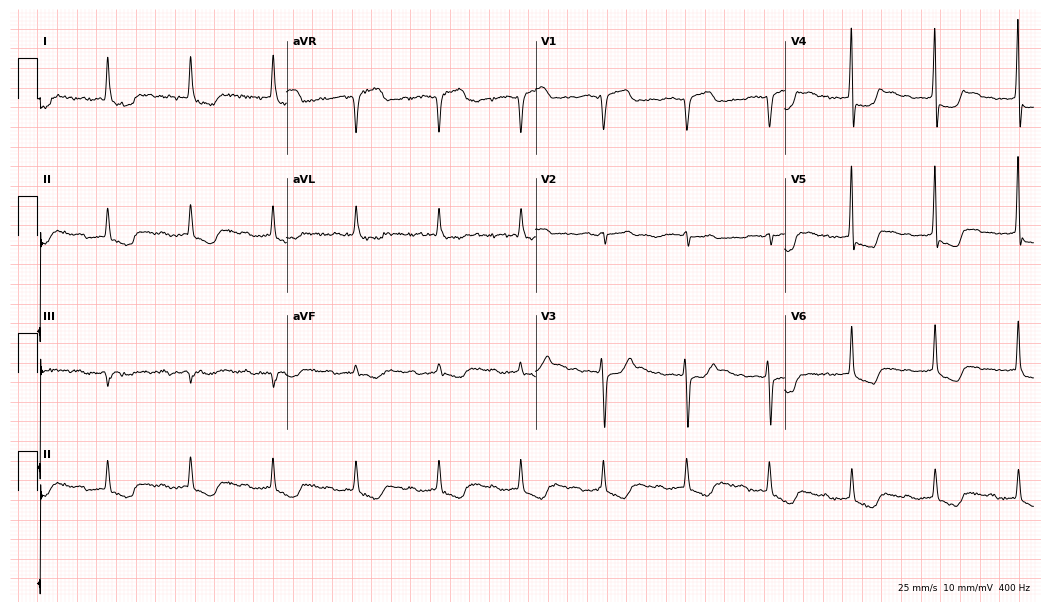
ECG (10.2-second recording at 400 Hz) — a 64-year-old woman. Screened for six findings — first-degree AV block, right bundle branch block, left bundle branch block, sinus bradycardia, atrial fibrillation, sinus tachycardia — none is recorded.